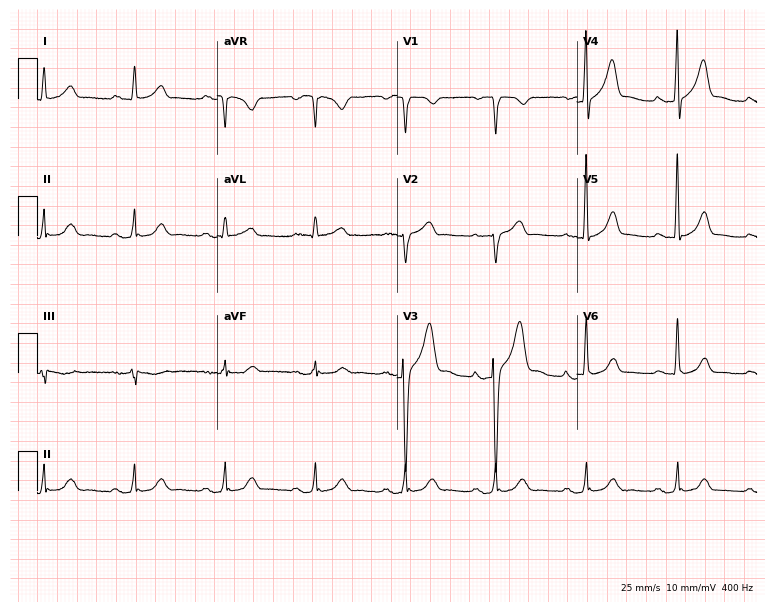
12-lead ECG from a woman, 66 years old (7.3-second recording at 400 Hz). No first-degree AV block, right bundle branch block (RBBB), left bundle branch block (LBBB), sinus bradycardia, atrial fibrillation (AF) or sinus tachycardia recorded for this tracing.